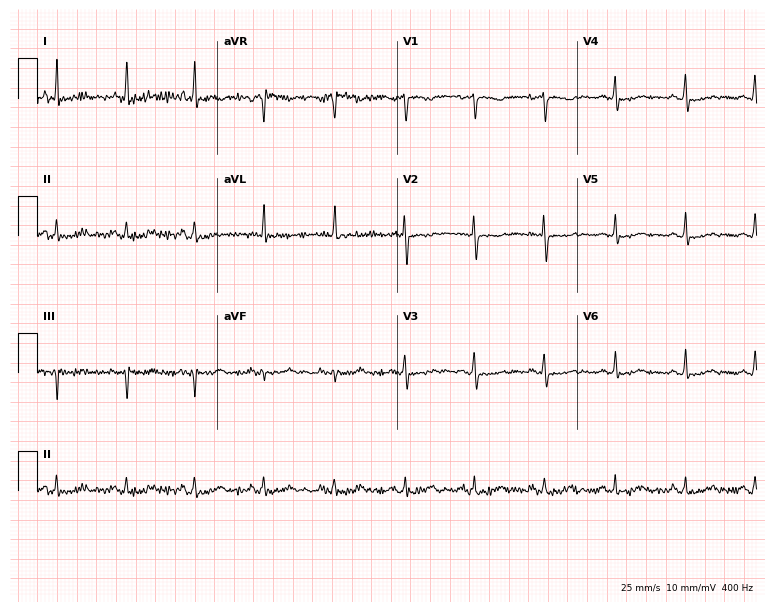
Standard 12-lead ECG recorded from a 44-year-old female (7.3-second recording at 400 Hz). None of these six findings is recorded: first-degree AV block, right bundle branch block, left bundle branch block, sinus bradycardia, atrial fibrillation, sinus tachycardia.